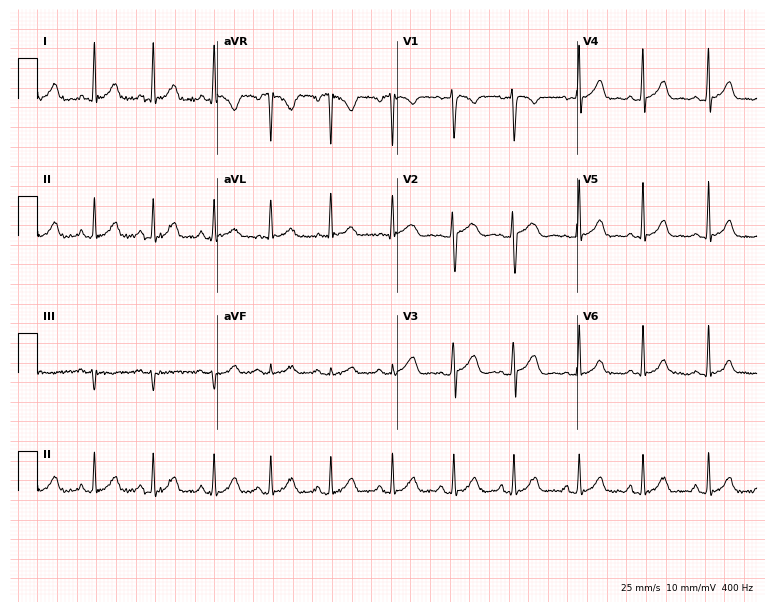
Electrocardiogram, a 21-year-old female patient. Overall reading on record: normal ECG.